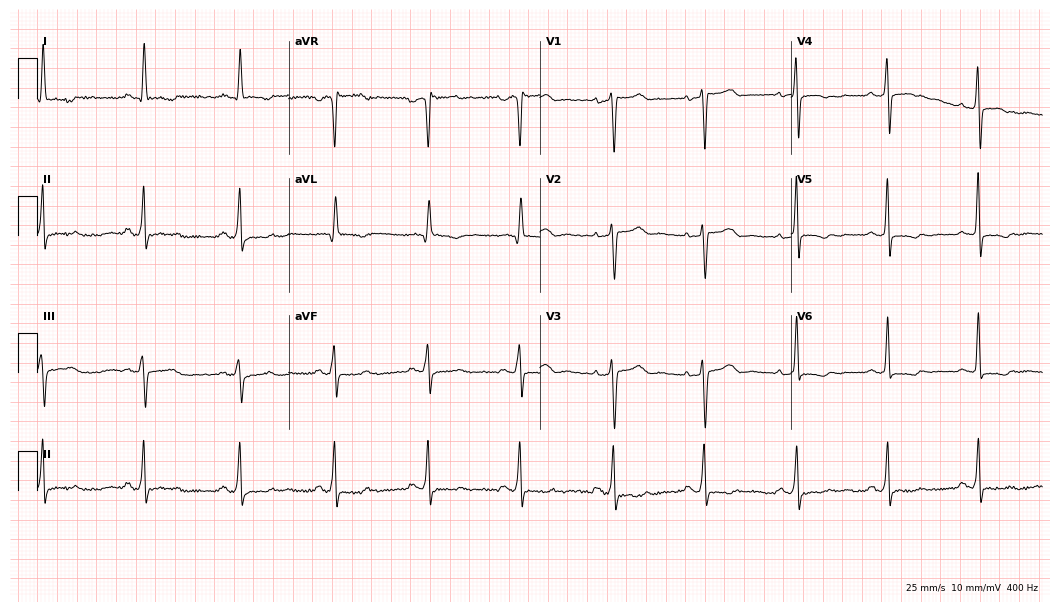
Electrocardiogram, a 52-year-old female patient. Of the six screened findings (first-degree AV block, right bundle branch block (RBBB), left bundle branch block (LBBB), sinus bradycardia, atrial fibrillation (AF), sinus tachycardia), none is recorded. Only these six findings were labelled.